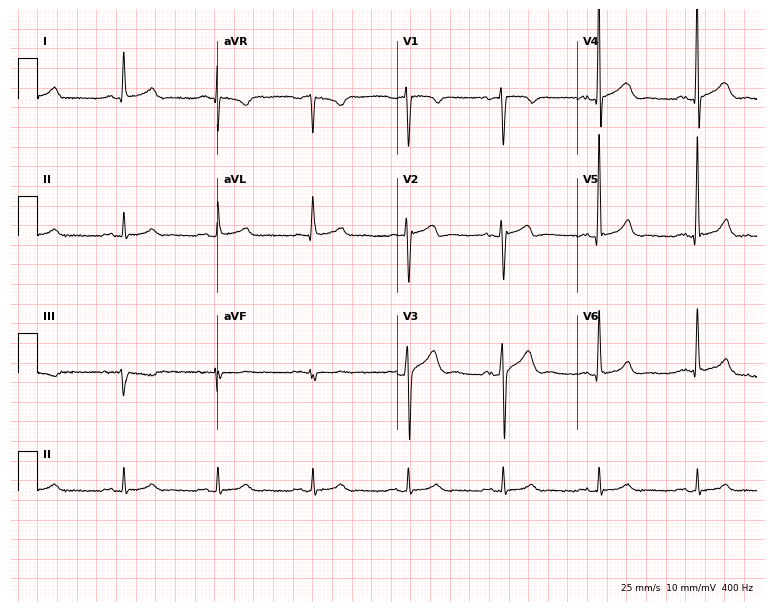
12-lead ECG from a man, 63 years old. Shows first-degree AV block.